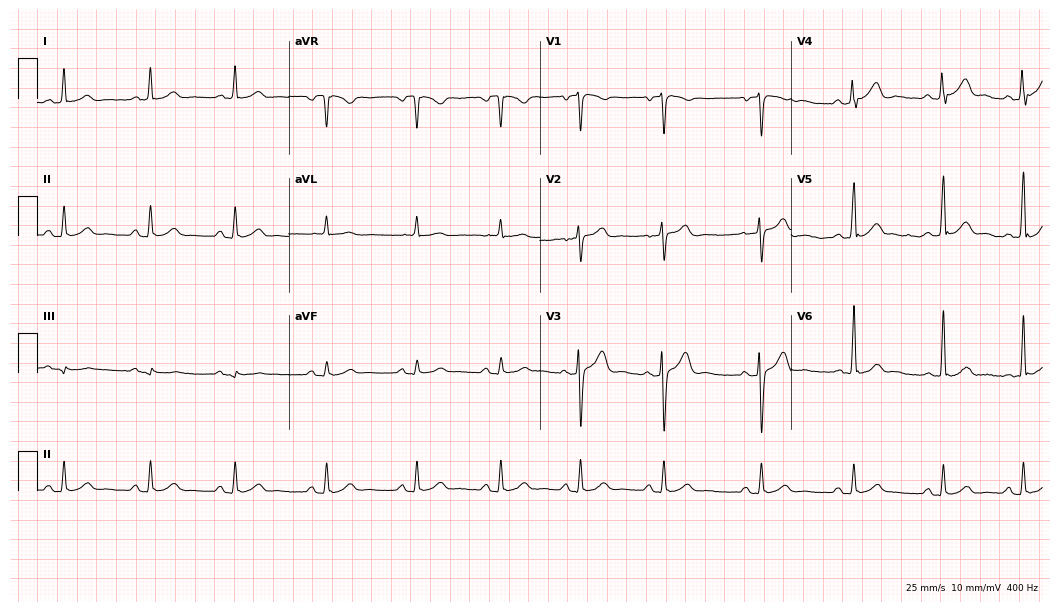
Resting 12-lead electrocardiogram. Patient: a male, 46 years old. Read as a normal ECG.